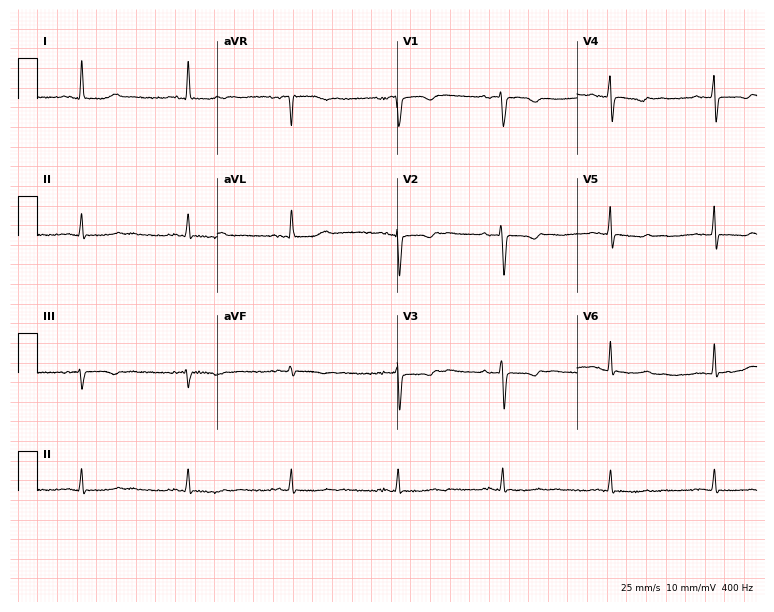
Electrocardiogram, a 68-year-old woman. Of the six screened findings (first-degree AV block, right bundle branch block (RBBB), left bundle branch block (LBBB), sinus bradycardia, atrial fibrillation (AF), sinus tachycardia), none is recorded. Other findings, if any, are not listed.